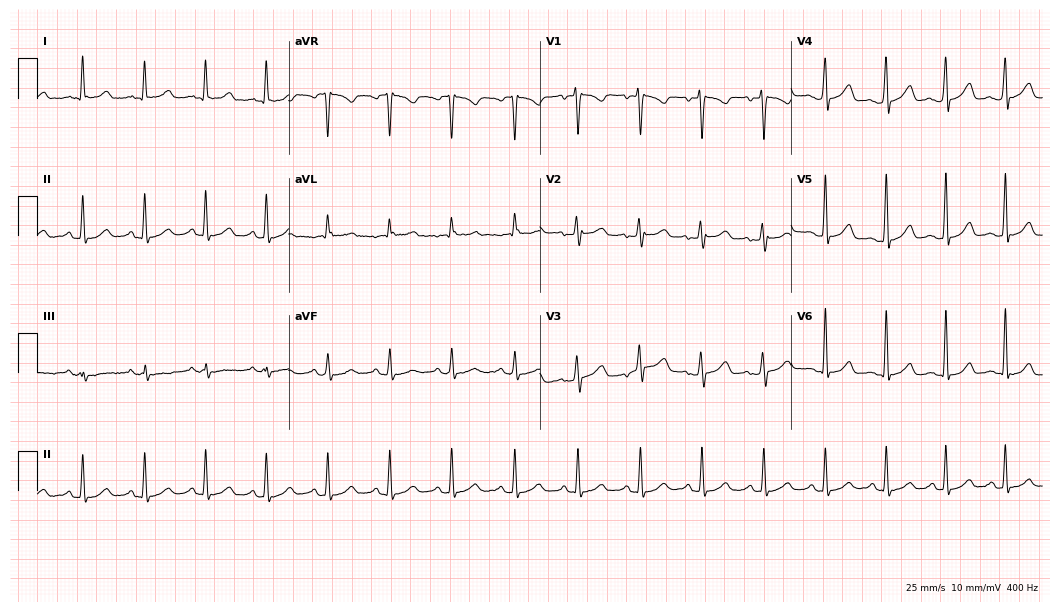
ECG (10.2-second recording at 400 Hz) — a woman, 35 years old. Screened for six findings — first-degree AV block, right bundle branch block (RBBB), left bundle branch block (LBBB), sinus bradycardia, atrial fibrillation (AF), sinus tachycardia — none is recorded. Other findings, if any, are not listed.